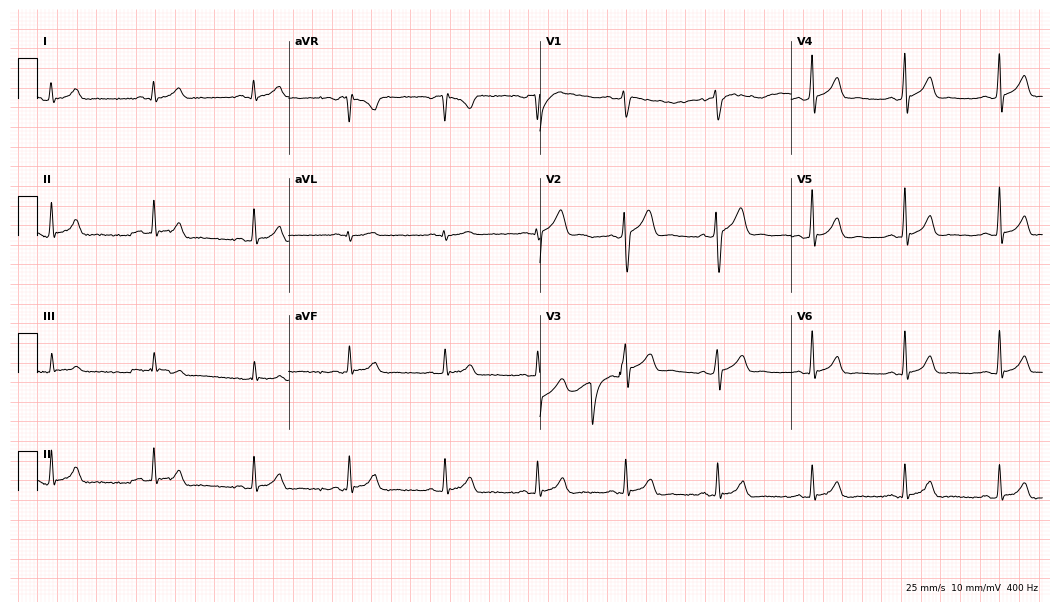
Resting 12-lead electrocardiogram (10.2-second recording at 400 Hz). Patient: a 24-year-old male. Read as a normal ECG.